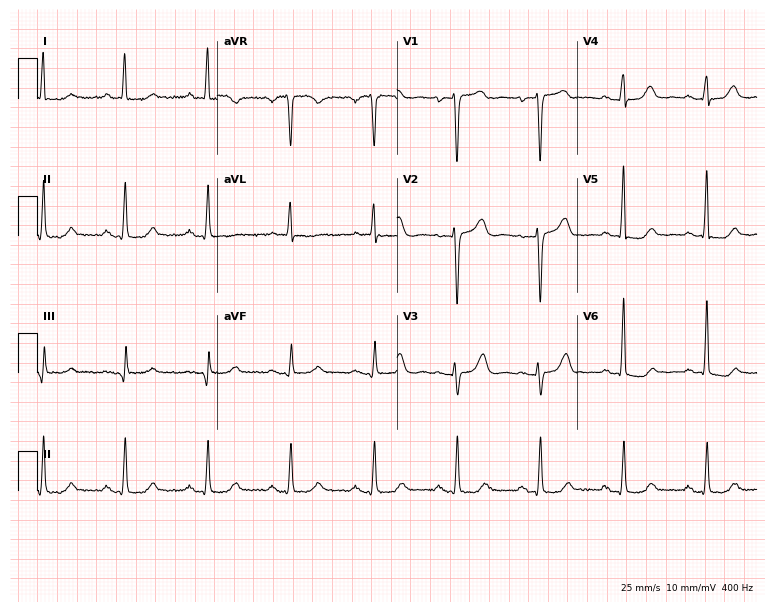
Resting 12-lead electrocardiogram. Patient: a female, 84 years old. None of these six findings is recorded: first-degree AV block, right bundle branch block, left bundle branch block, sinus bradycardia, atrial fibrillation, sinus tachycardia. Findings outside these six are not listed.